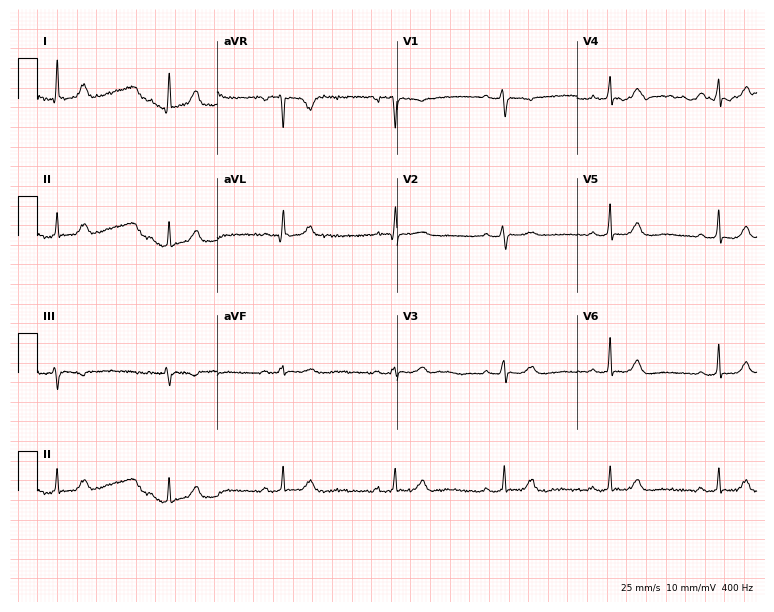
Electrocardiogram (7.3-second recording at 400 Hz), a female, 58 years old. Overall reading on record: normal ECG.